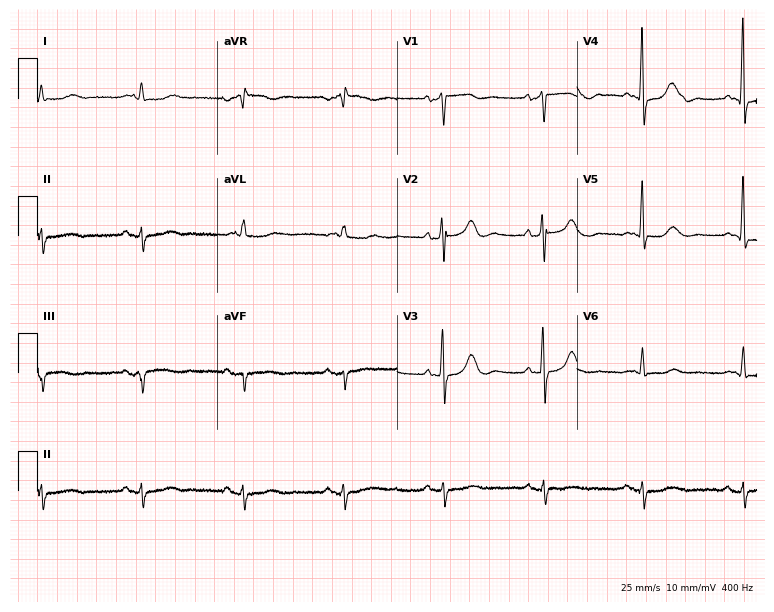
12-lead ECG from a male patient, 79 years old. Screened for six findings — first-degree AV block, right bundle branch block, left bundle branch block, sinus bradycardia, atrial fibrillation, sinus tachycardia — none is recorded.